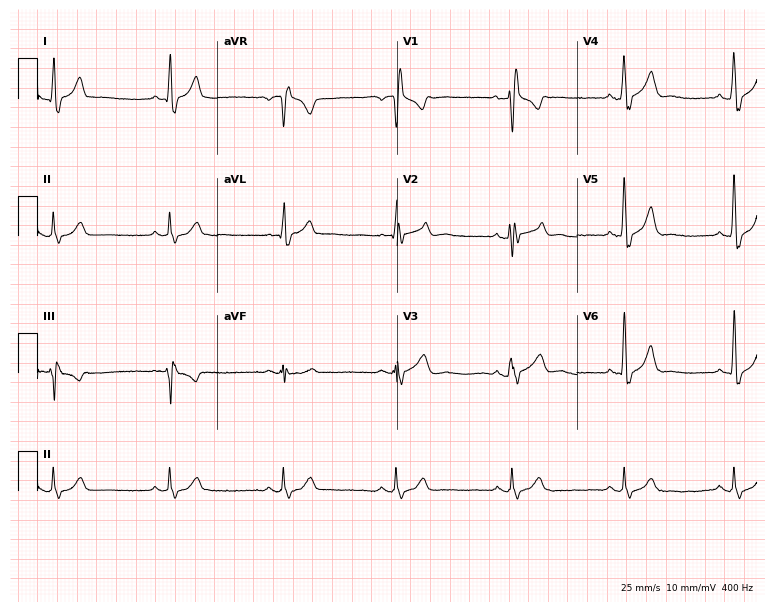
12-lead ECG from a male, 38 years old. Findings include right bundle branch block.